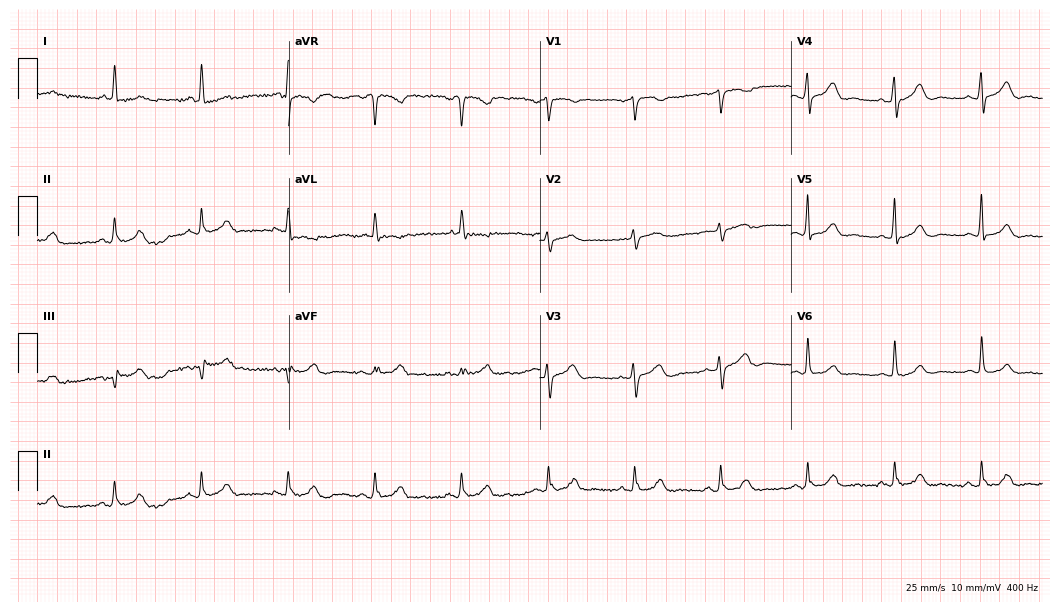
ECG — a 70-year-old female. Labelled as a normal ECG.